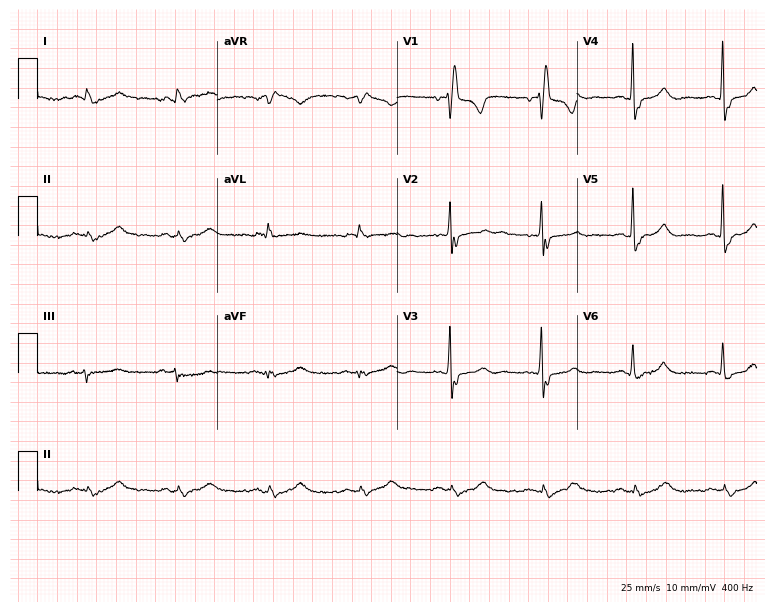
12-lead ECG (7.3-second recording at 400 Hz) from a 78-year-old female. Findings include atrial fibrillation.